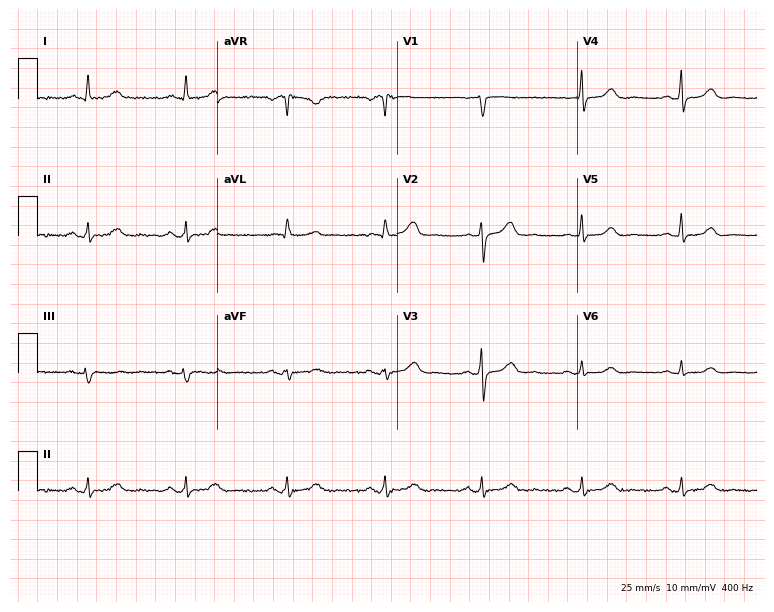
12-lead ECG from a 65-year-old woman. Recorded interpretation: within normal limits.